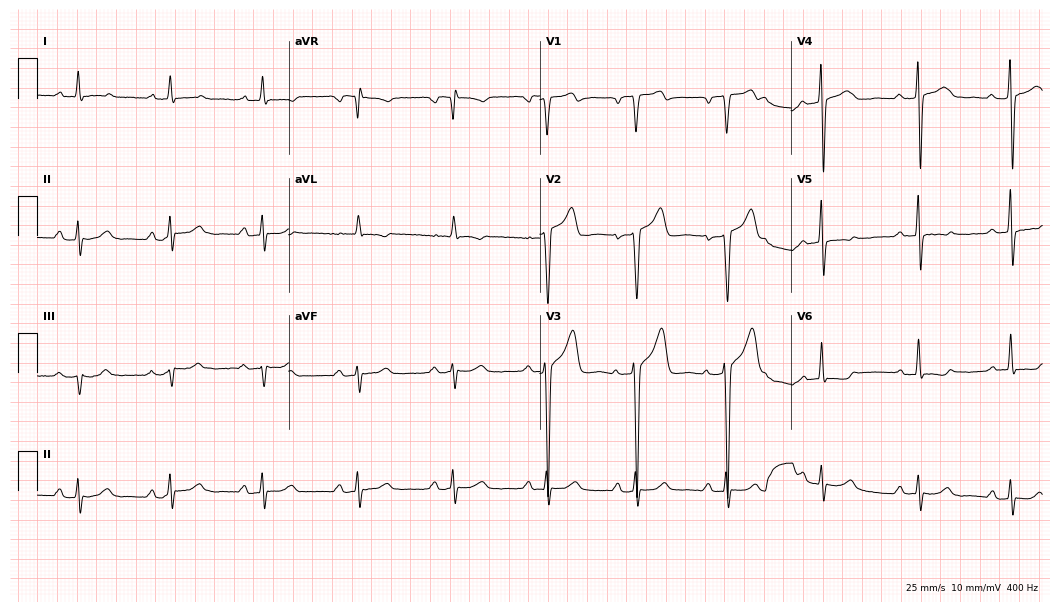
Electrocardiogram, a man, 40 years old. Of the six screened findings (first-degree AV block, right bundle branch block (RBBB), left bundle branch block (LBBB), sinus bradycardia, atrial fibrillation (AF), sinus tachycardia), none is recorded.